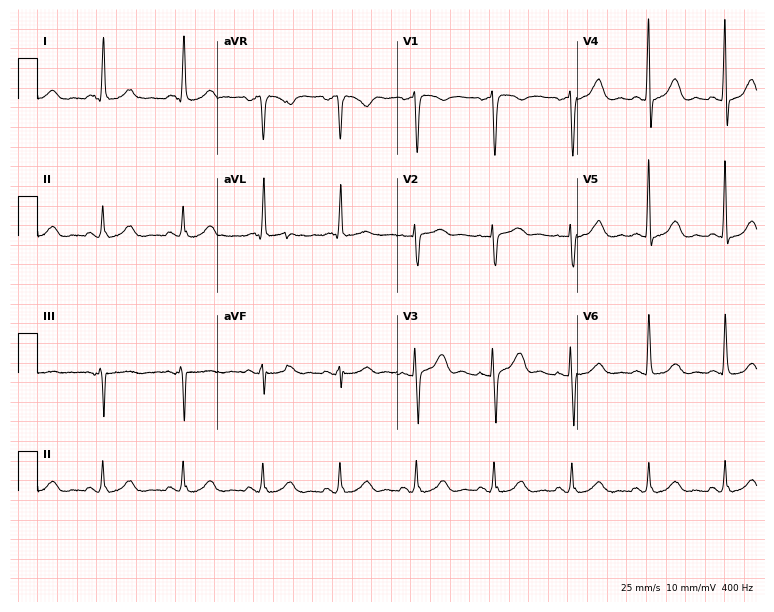
Standard 12-lead ECG recorded from a female patient, 64 years old (7.3-second recording at 400 Hz). Read as a normal ECG.